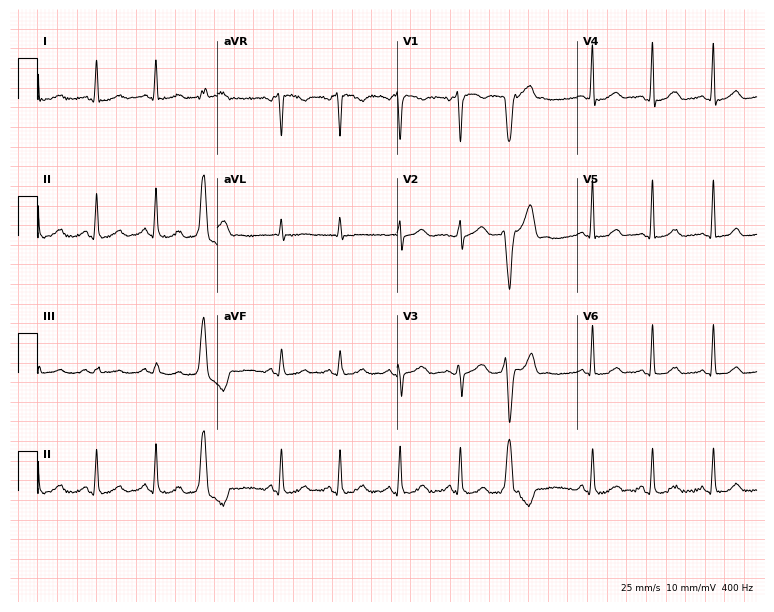
Standard 12-lead ECG recorded from a female patient, 49 years old. None of these six findings is recorded: first-degree AV block, right bundle branch block, left bundle branch block, sinus bradycardia, atrial fibrillation, sinus tachycardia.